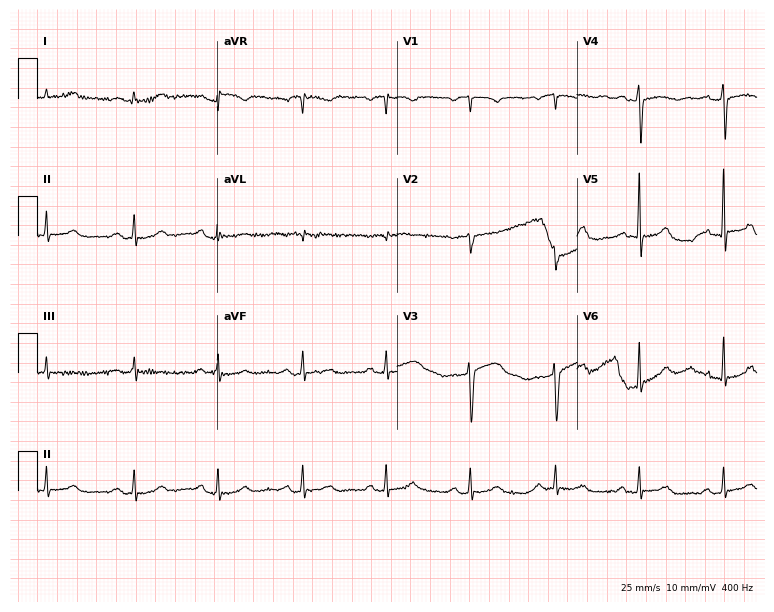
Resting 12-lead electrocardiogram. Patient: a 49-year-old female. None of these six findings is recorded: first-degree AV block, right bundle branch block, left bundle branch block, sinus bradycardia, atrial fibrillation, sinus tachycardia.